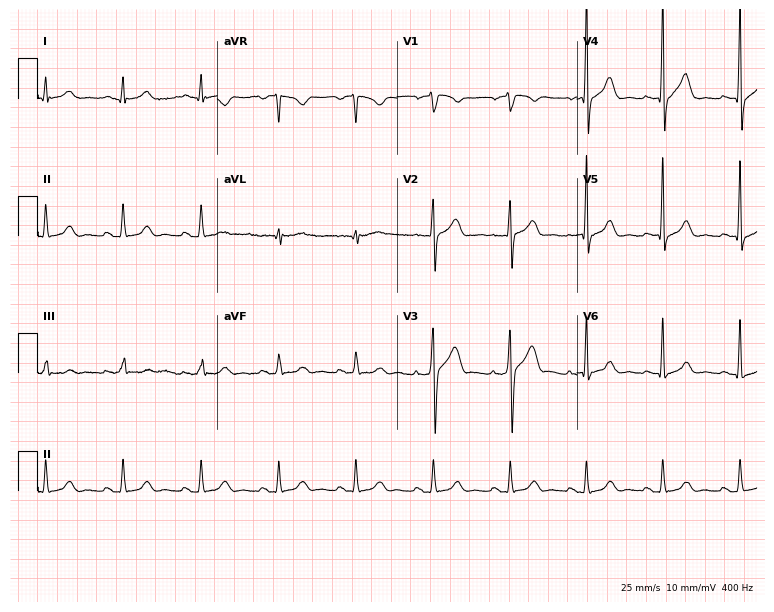
12-lead ECG (7.3-second recording at 400 Hz) from a man, 55 years old. Labelled as a normal ECG.